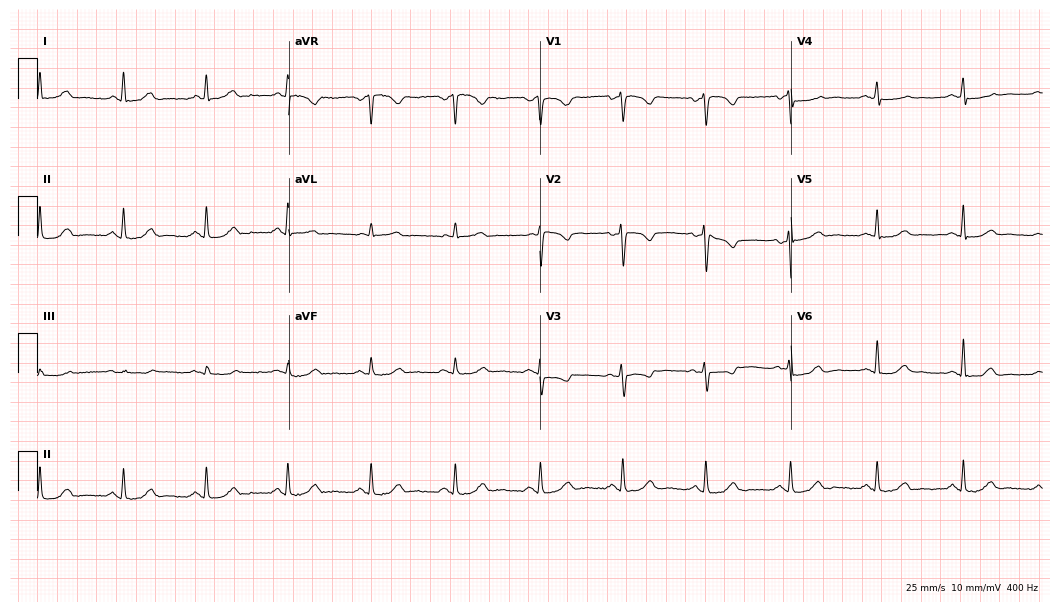
Electrocardiogram, a 47-year-old female patient. Overall reading on record: normal ECG.